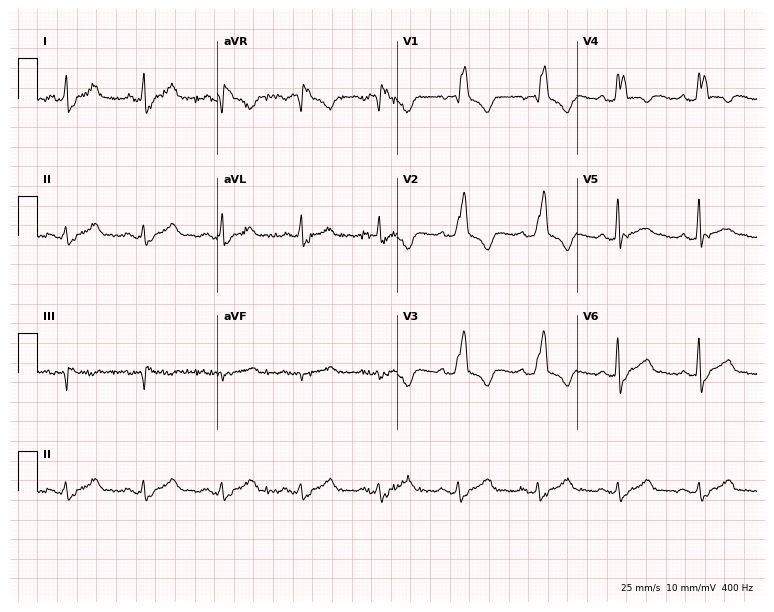
ECG — a 54-year-old male. Findings include right bundle branch block.